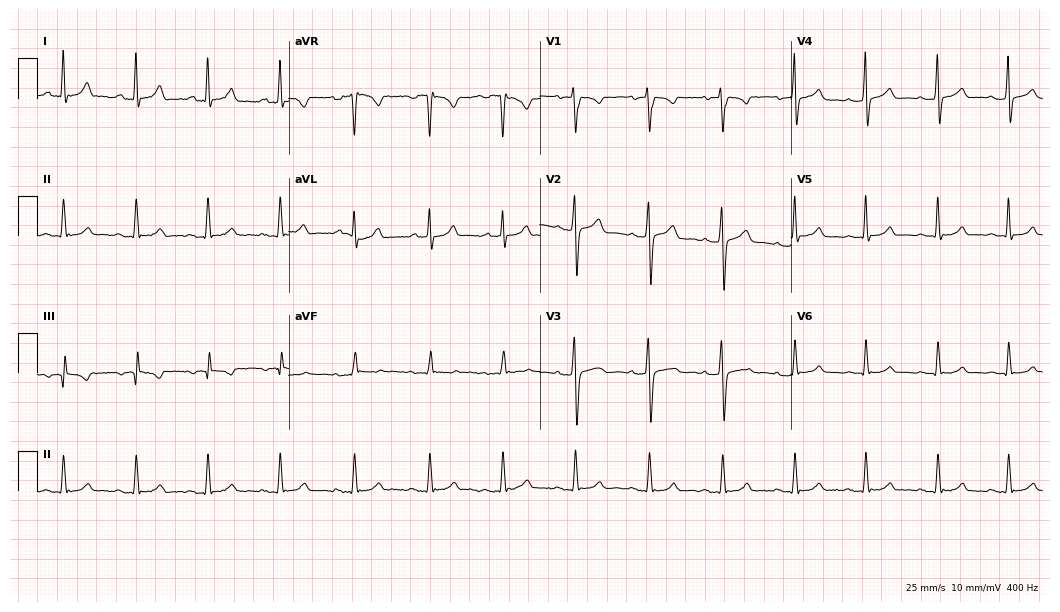
Resting 12-lead electrocardiogram. Patient: a 24-year-old female. Read as a normal ECG.